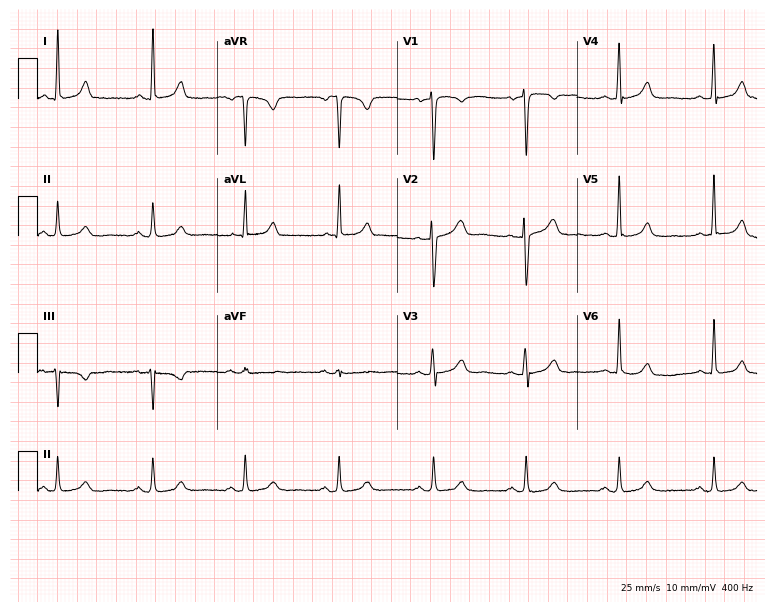
12-lead ECG from a female patient, 61 years old (7.3-second recording at 400 Hz). No first-degree AV block, right bundle branch block (RBBB), left bundle branch block (LBBB), sinus bradycardia, atrial fibrillation (AF) or sinus tachycardia recorded for this tracing. Other findings, if any, are not listed.